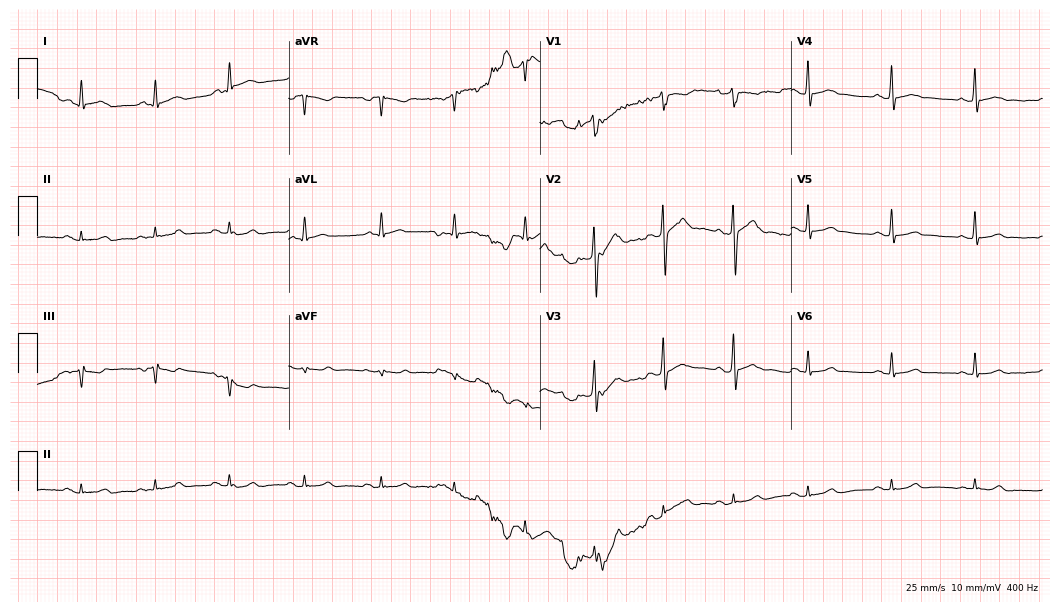
Standard 12-lead ECG recorded from a 41-year-old male. Read as a normal ECG.